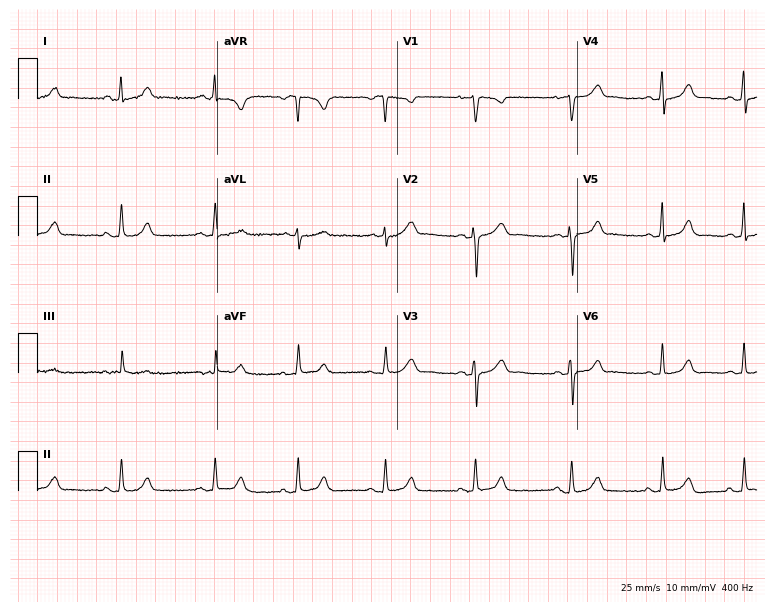
12-lead ECG from a 22-year-old female. Screened for six findings — first-degree AV block, right bundle branch block (RBBB), left bundle branch block (LBBB), sinus bradycardia, atrial fibrillation (AF), sinus tachycardia — none is recorded.